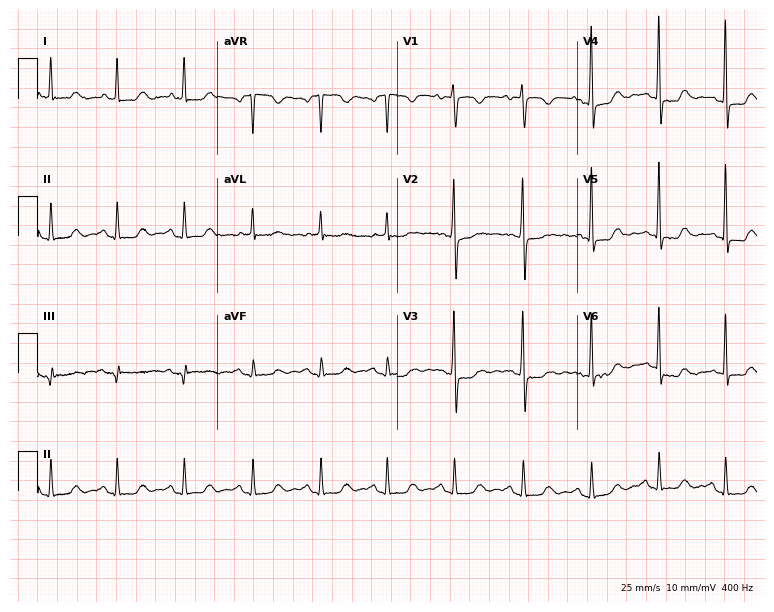
Standard 12-lead ECG recorded from a 49-year-old female. Read as a normal ECG.